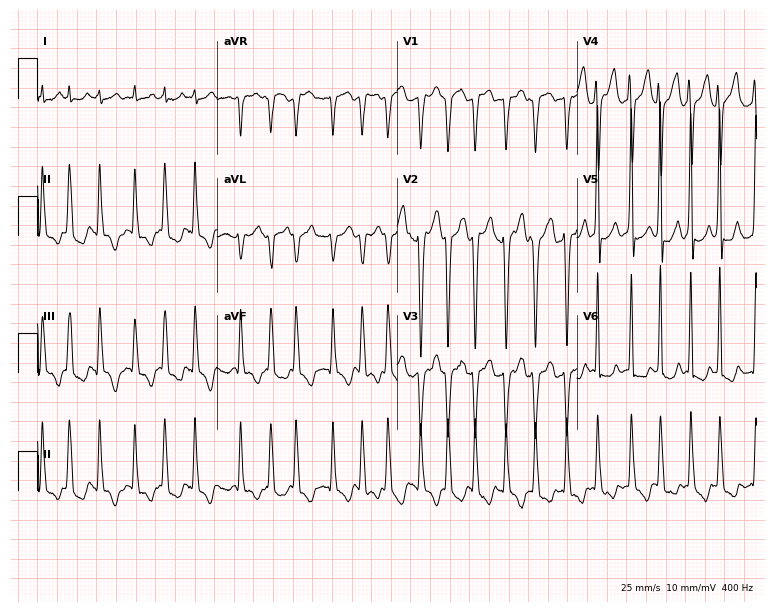
12-lead ECG (7.3-second recording at 400 Hz) from a male patient, 80 years old. Findings include atrial fibrillation.